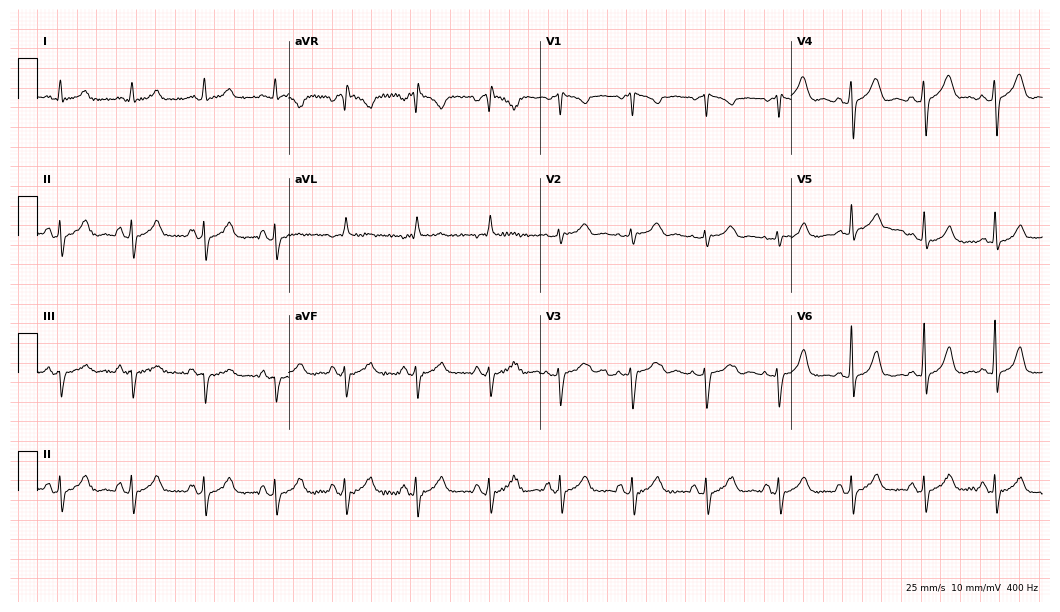
ECG (10.2-second recording at 400 Hz) — a 41-year-old woman. Screened for six findings — first-degree AV block, right bundle branch block (RBBB), left bundle branch block (LBBB), sinus bradycardia, atrial fibrillation (AF), sinus tachycardia — none is recorded.